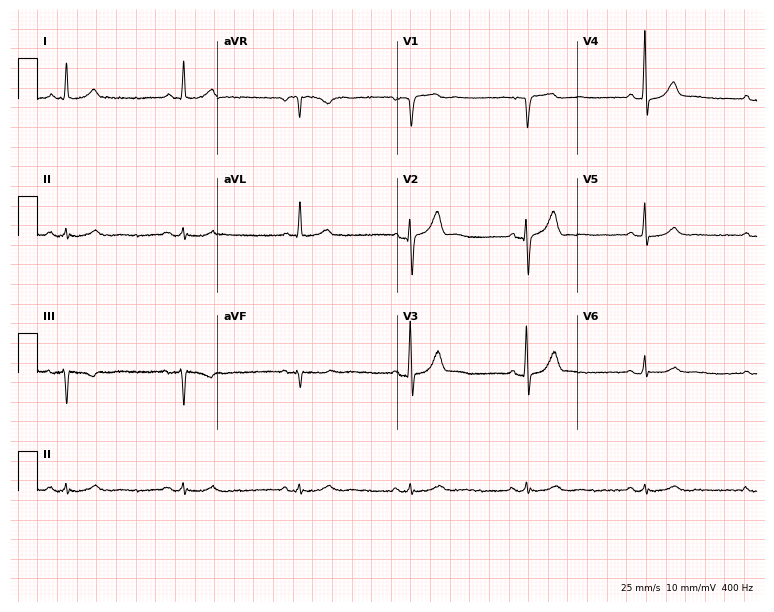
Resting 12-lead electrocardiogram. Patient: a 74-year-old male. Read as a normal ECG.